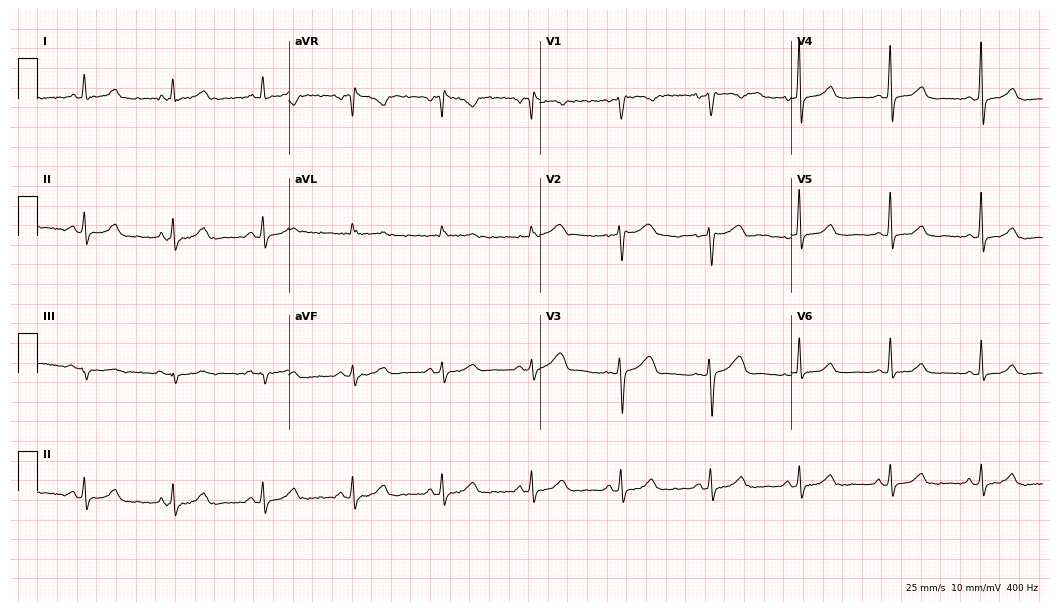
Standard 12-lead ECG recorded from a 46-year-old woman. Read as a normal ECG.